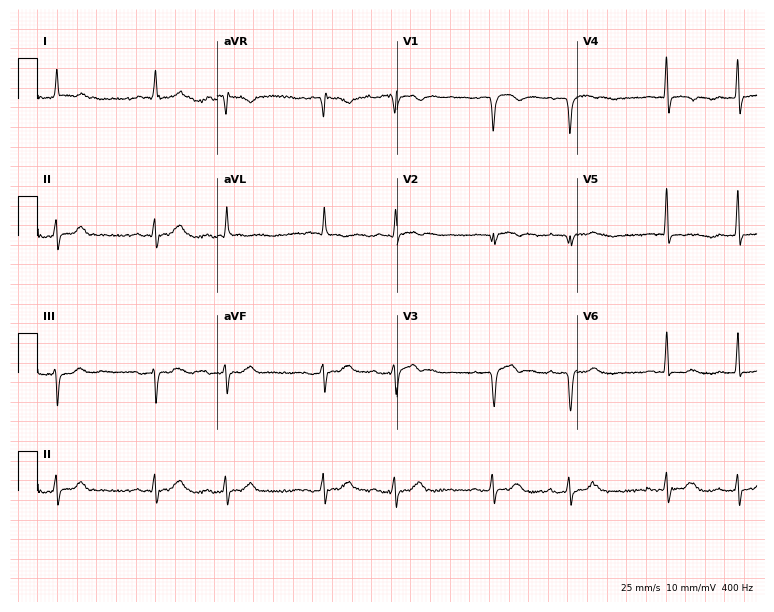
12-lead ECG from a man, 65 years old. Screened for six findings — first-degree AV block, right bundle branch block, left bundle branch block, sinus bradycardia, atrial fibrillation, sinus tachycardia — none is recorded. Other findings, if any, are not listed.